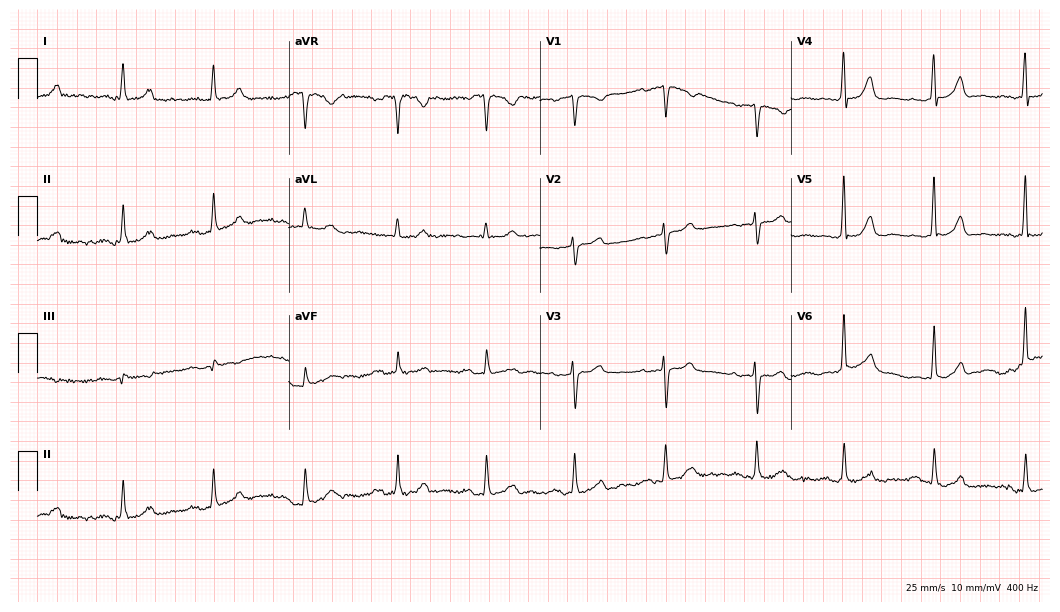
Standard 12-lead ECG recorded from a woman, 72 years old. None of these six findings is recorded: first-degree AV block, right bundle branch block (RBBB), left bundle branch block (LBBB), sinus bradycardia, atrial fibrillation (AF), sinus tachycardia.